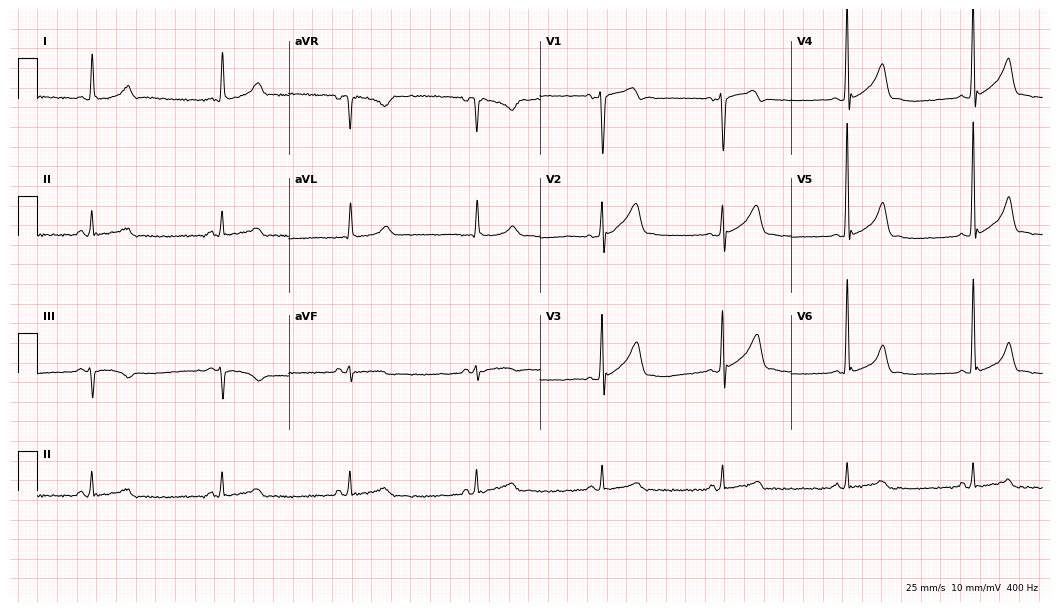
12-lead ECG from a male patient, 56 years old. Shows sinus bradycardia (a sinus rate of 50 beats per minute or less).